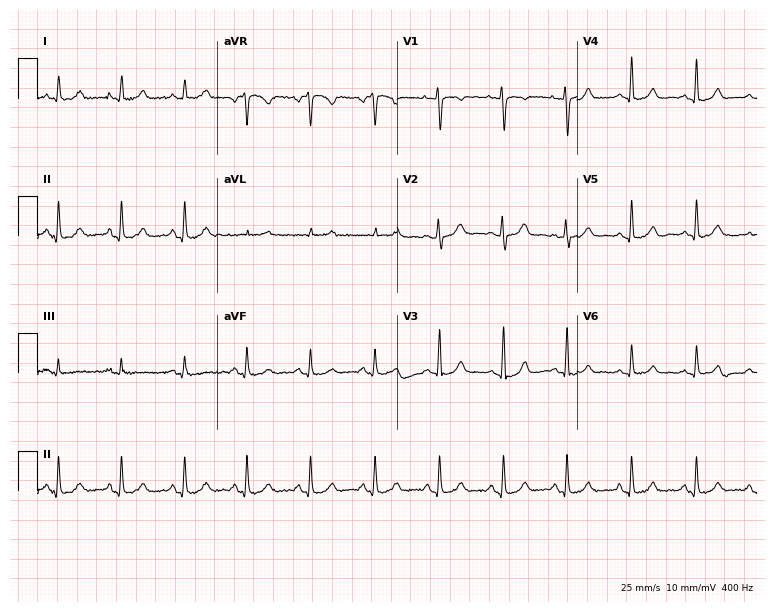
12-lead ECG (7.3-second recording at 400 Hz) from a 48-year-old female. Screened for six findings — first-degree AV block, right bundle branch block, left bundle branch block, sinus bradycardia, atrial fibrillation, sinus tachycardia — none is recorded.